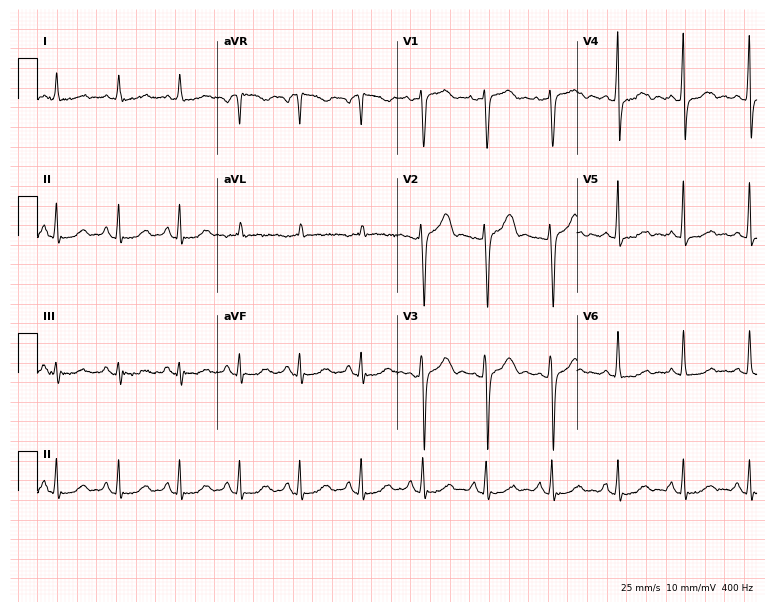
ECG — a woman, 59 years old. Screened for six findings — first-degree AV block, right bundle branch block (RBBB), left bundle branch block (LBBB), sinus bradycardia, atrial fibrillation (AF), sinus tachycardia — none is recorded.